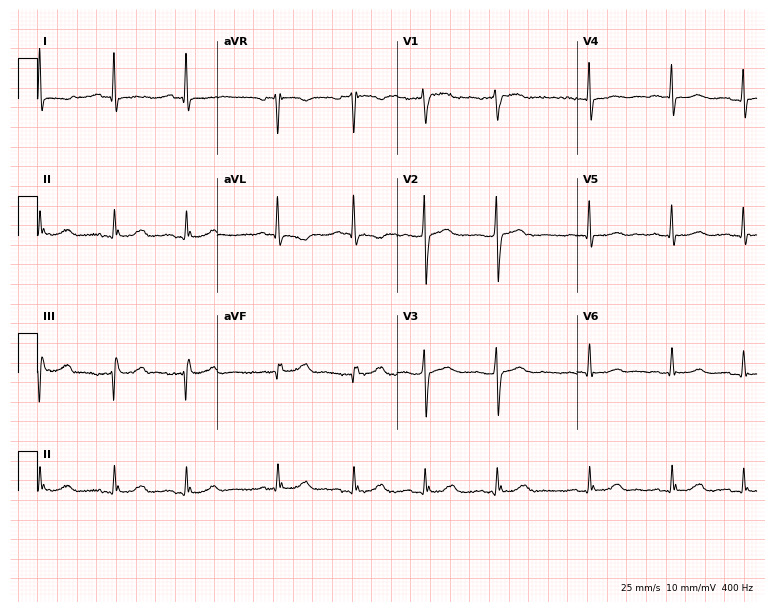
12-lead ECG from a woman, 67 years old. Screened for six findings — first-degree AV block, right bundle branch block, left bundle branch block, sinus bradycardia, atrial fibrillation, sinus tachycardia — none is recorded.